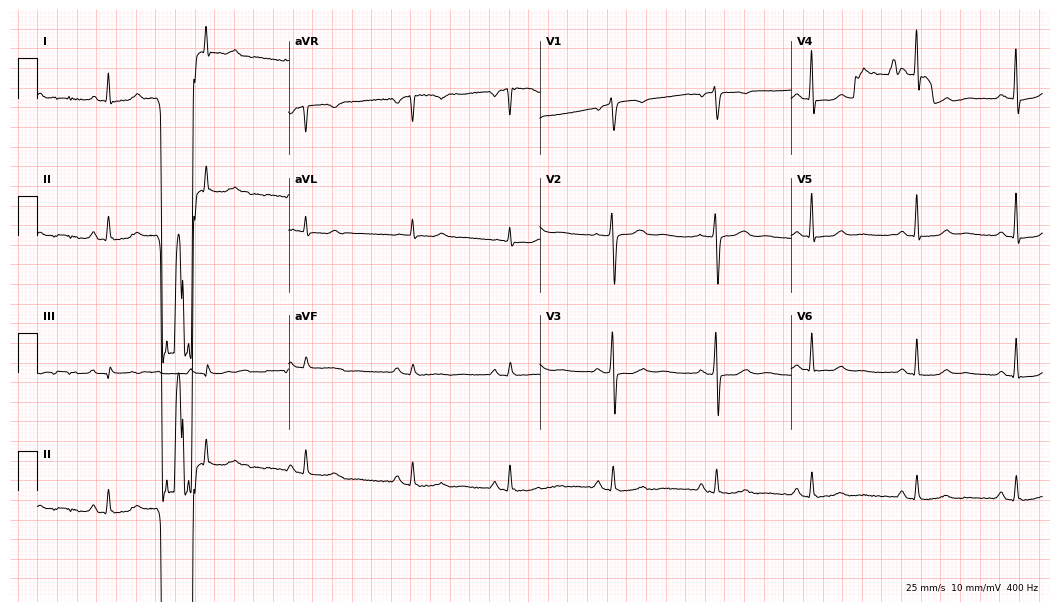
Resting 12-lead electrocardiogram. Patient: a 60-year-old female. None of these six findings is recorded: first-degree AV block, right bundle branch block, left bundle branch block, sinus bradycardia, atrial fibrillation, sinus tachycardia.